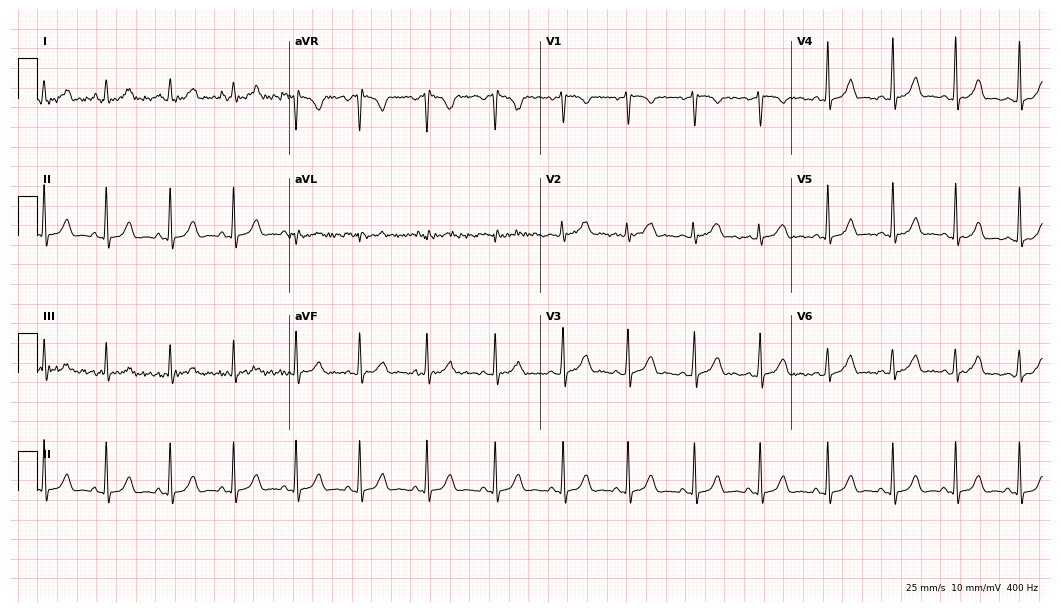
Standard 12-lead ECG recorded from a 25-year-old female patient (10.2-second recording at 400 Hz). None of these six findings is recorded: first-degree AV block, right bundle branch block, left bundle branch block, sinus bradycardia, atrial fibrillation, sinus tachycardia.